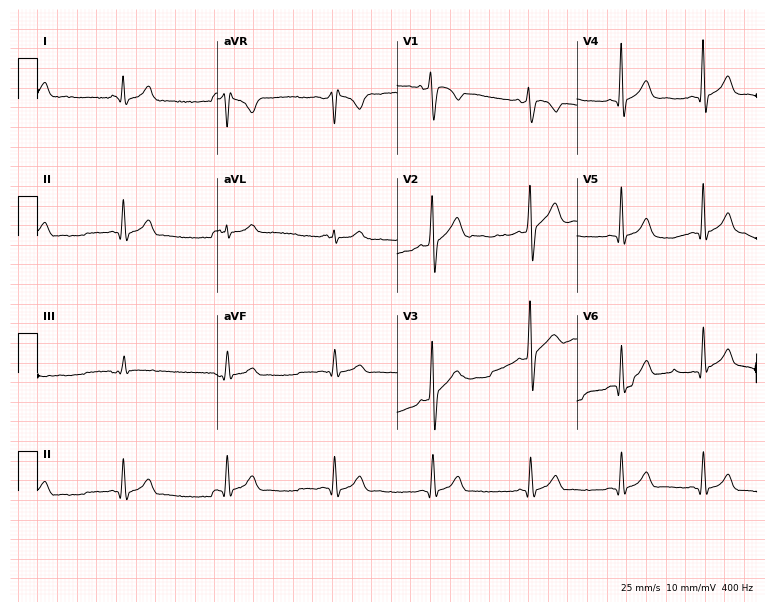
12-lead ECG (7.3-second recording at 400 Hz) from a 24-year-old male. Screened for six findings — first-degree AV block, right bundle branch block (RBBB), left bundle branch block (LBBB), sinus bradycardia, atrial fibrillation (AF), sinus tachycardia — none is recorded.